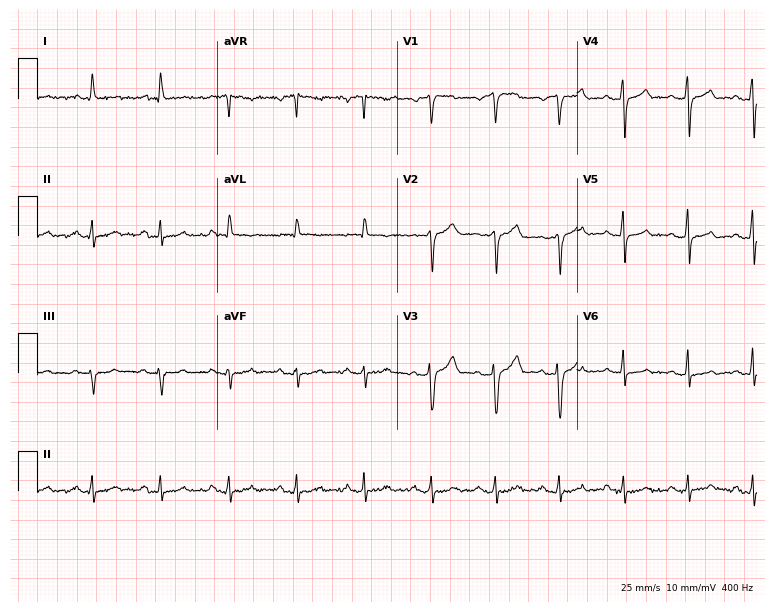
Resting 12-lead electrocardiogram (7.3-second recording at 400 Hz). Patient: a 50-year-old male. Read as a normal ECG.